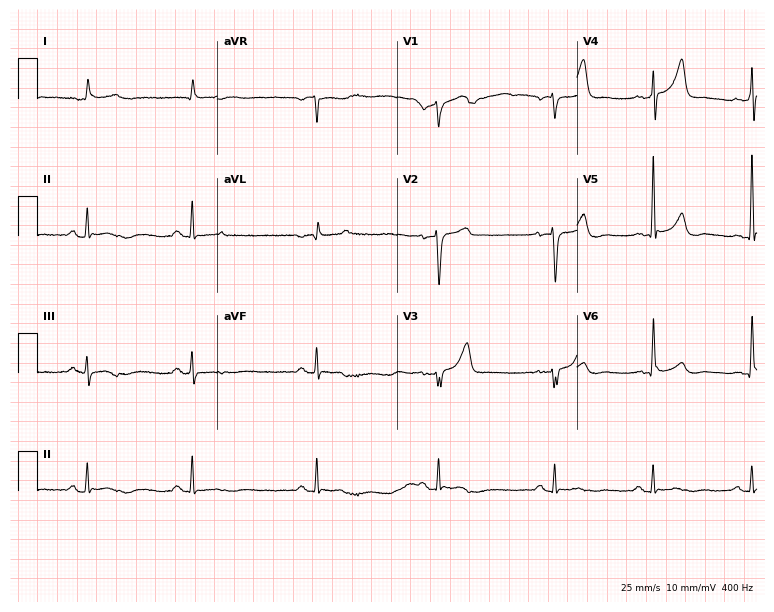
Electrocardiogram (7.3-second recording at 400 Hz), a 66-year-old male patient. Of the six screened findings (first-degree AV block, right bundle branch block, left bundle branch block, sinus bradycardia, atrial fibrillation, sinus tachycardia), none is recorded. Only these six findings were labelled.